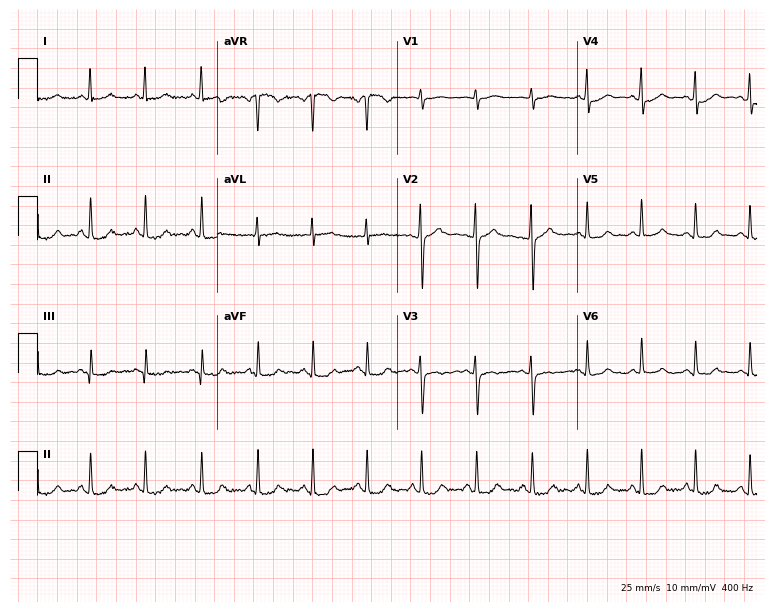
ECG — a 40-year-old woman. Findings include sinus tachycardia (a sinus rate of 100 beats per minute or more).